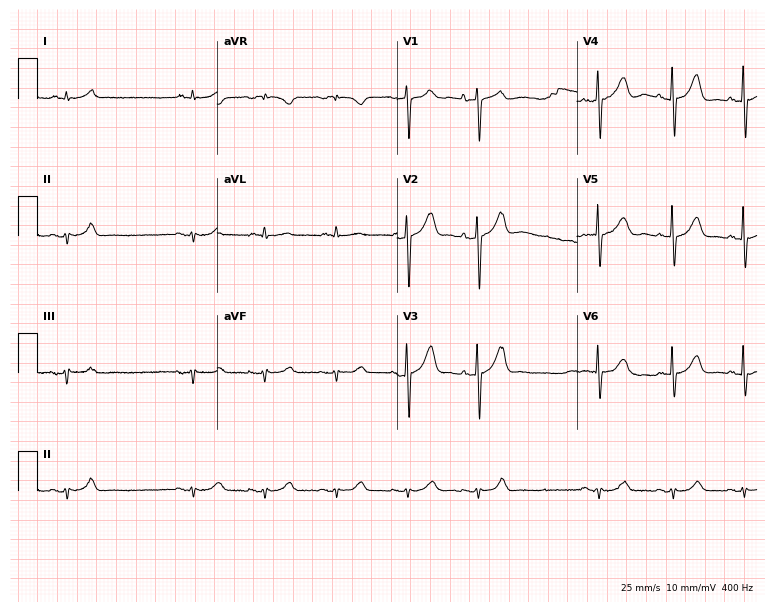
ECG (7.3-second recording at 400 Hz) — a man, 86 years old. Screened for six findings — first-degree AV block, right bundle branch block, left bundle branch block, sinus bradycardia, atrial fibrillation, sinus tachycardia — none is recorded. Only these six findings were labelled.